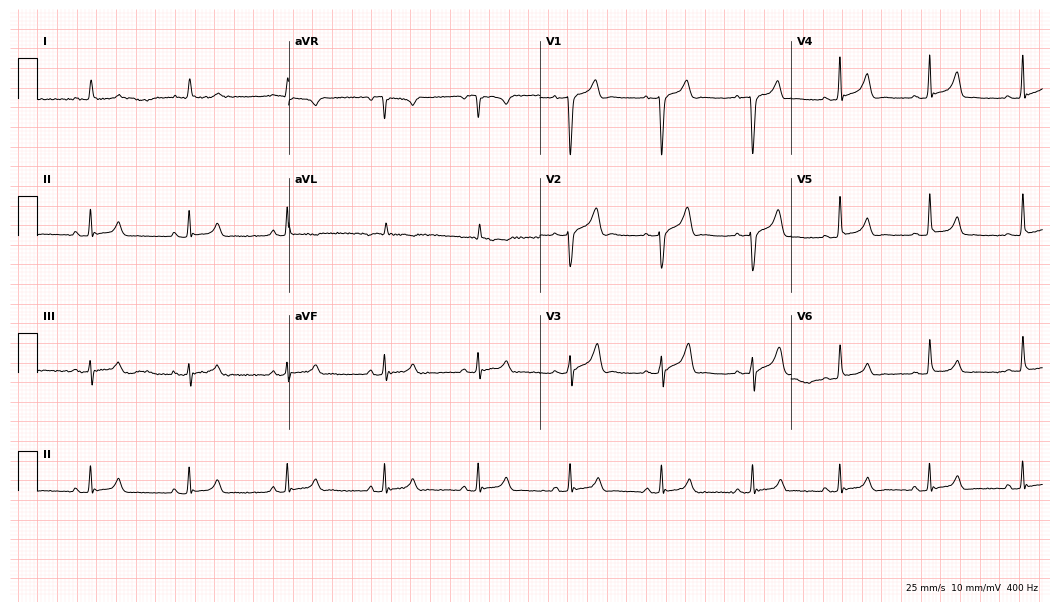
12-lead ECG (10.2-second recording at 400 Hz) from a male patient, 48 years old. Labelled as a normal ECG.